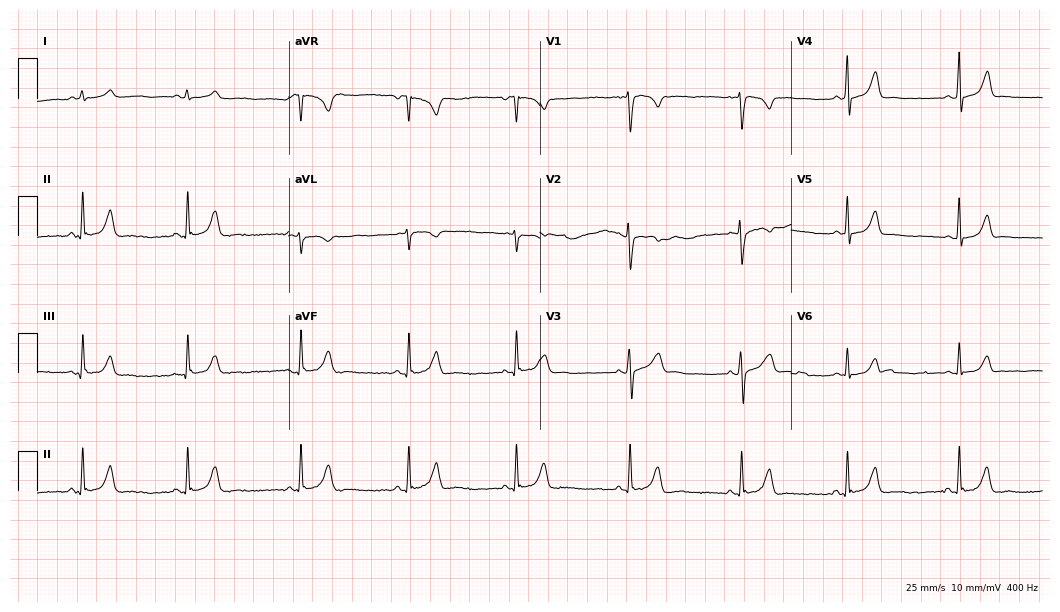
Resting 12-lead electrocardiogram (10.2-second recording at 400 Hz). Patient: a 21-year-old woman. Read as a normal ECG.